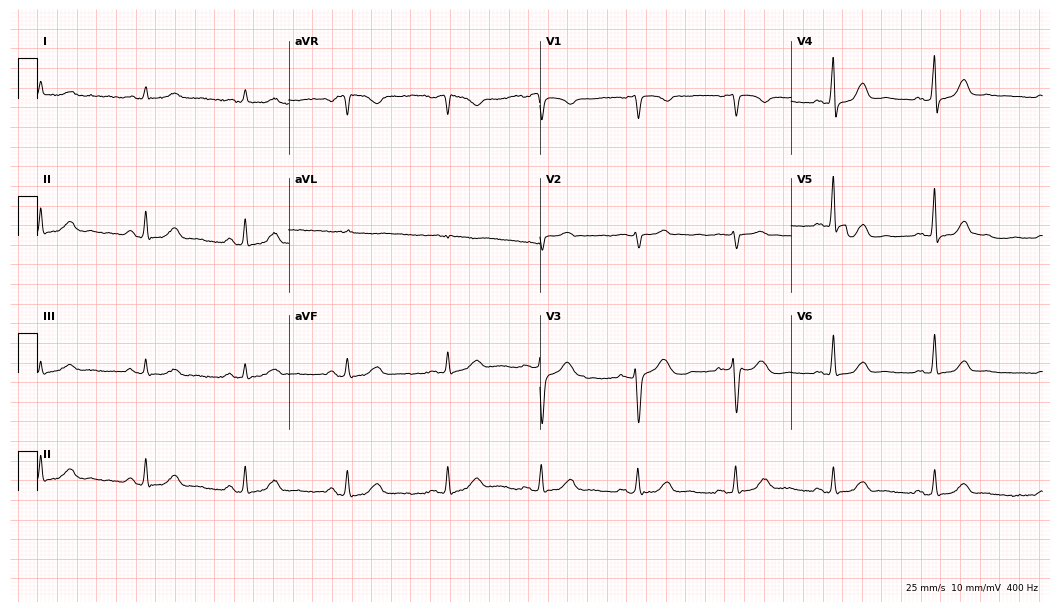
12-lead ECG (10.2-second recording at 400 Hz) from a 68-year-old female. Labelled as a normal ECG.